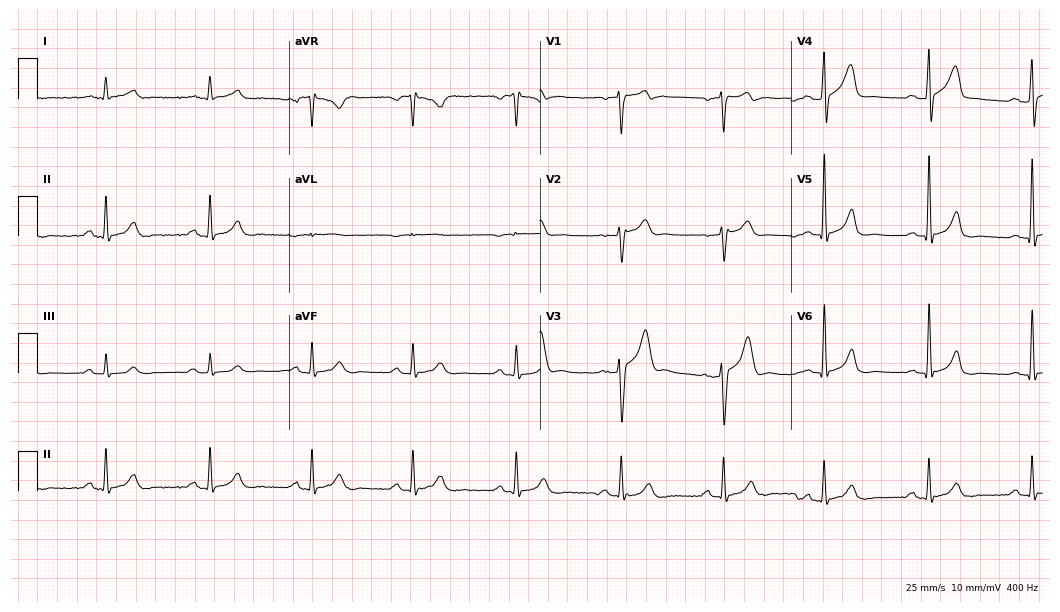
ECG — a male patient, 63 years old. Labelled as a normal ECG.